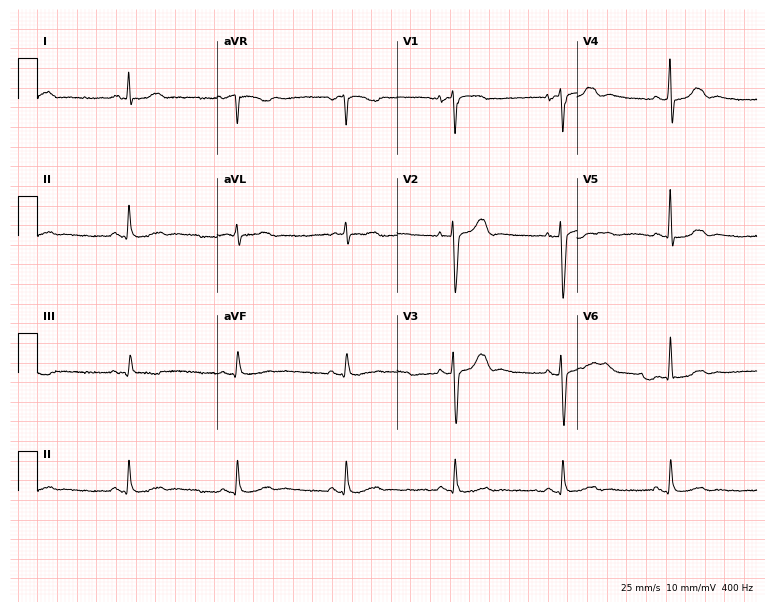
Resting 12-lead electrocardiogram (7.3-second recording at 400 Hz). Patient: a male, 77 years old. Read as a normal ECG.